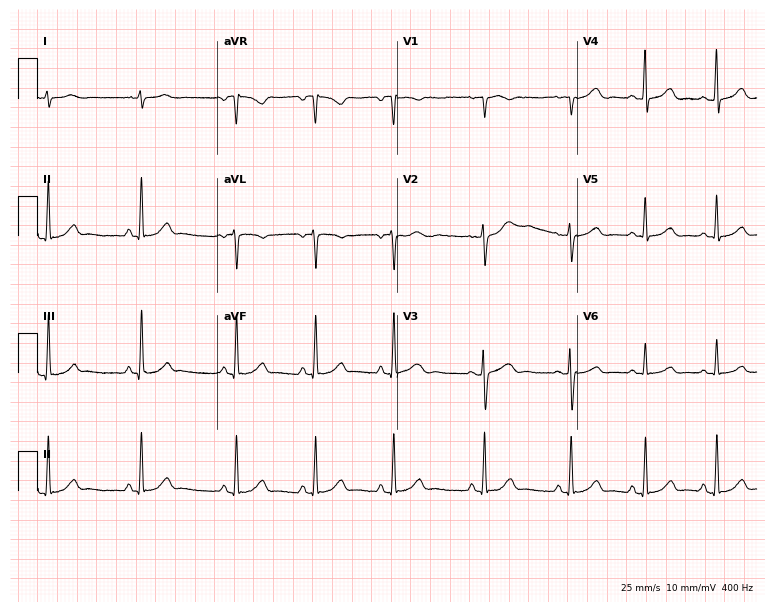
Resting 12-lead electrocardiogram. Patient: a woman, 19 years old. None of these six findings is recorded: first-degree AV block, right bundle branch block (RBBB), left bundle branch block (LBBB), sinus bradycardia, atrial fibrillation (AF), sinus tachycardia. Findings outside these six are not listed.